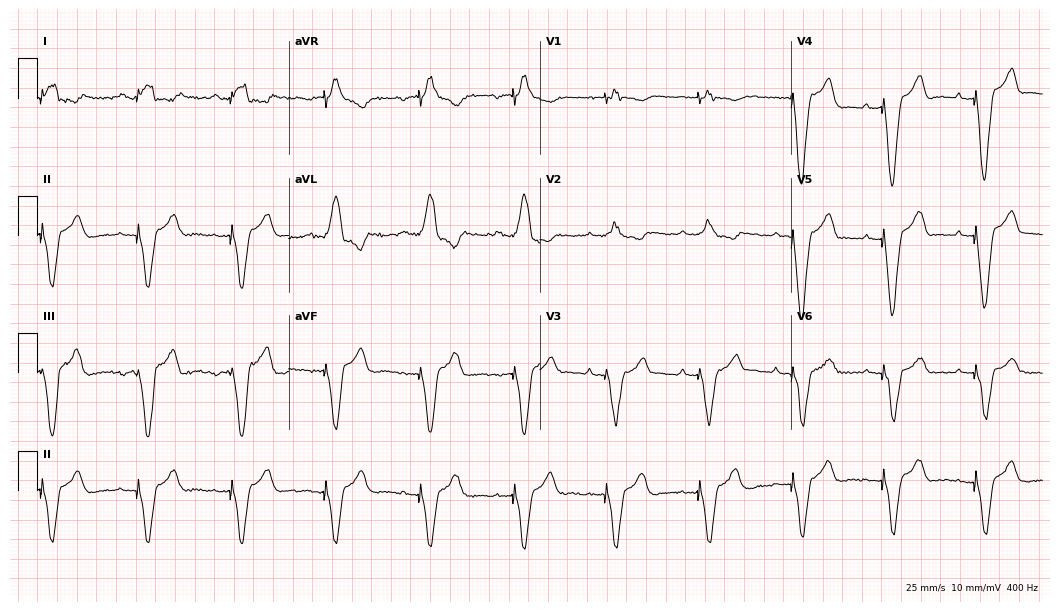
ECG — an 84-year-old male. Screened for six findings — first-degree AV block, right bundle branch block, left bundle branch block, sinus bradycardia, atrial fibrillation, sinus tachycardia — none is recorded.